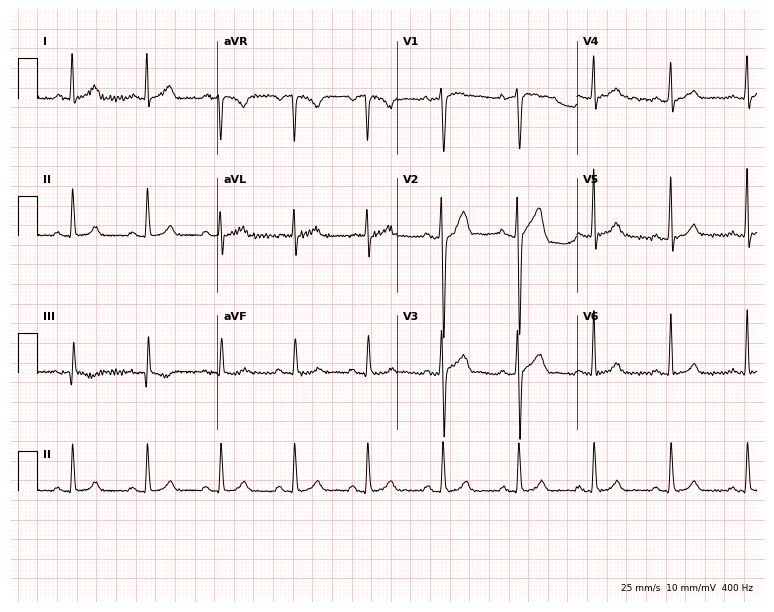
12-lead ECG from a 26-year-old male. Labelled as a normal ECG.